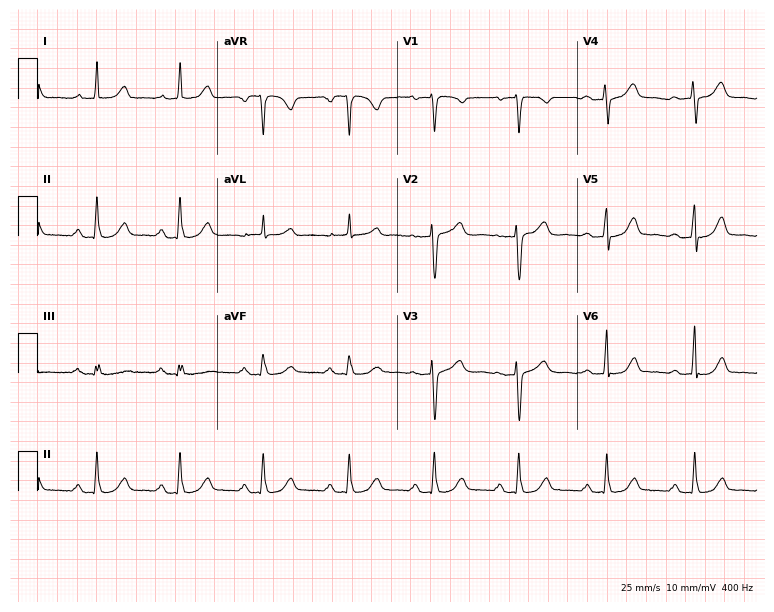
12-lead ECG from a 64-year-old woman. Labelled as a normal ECG.